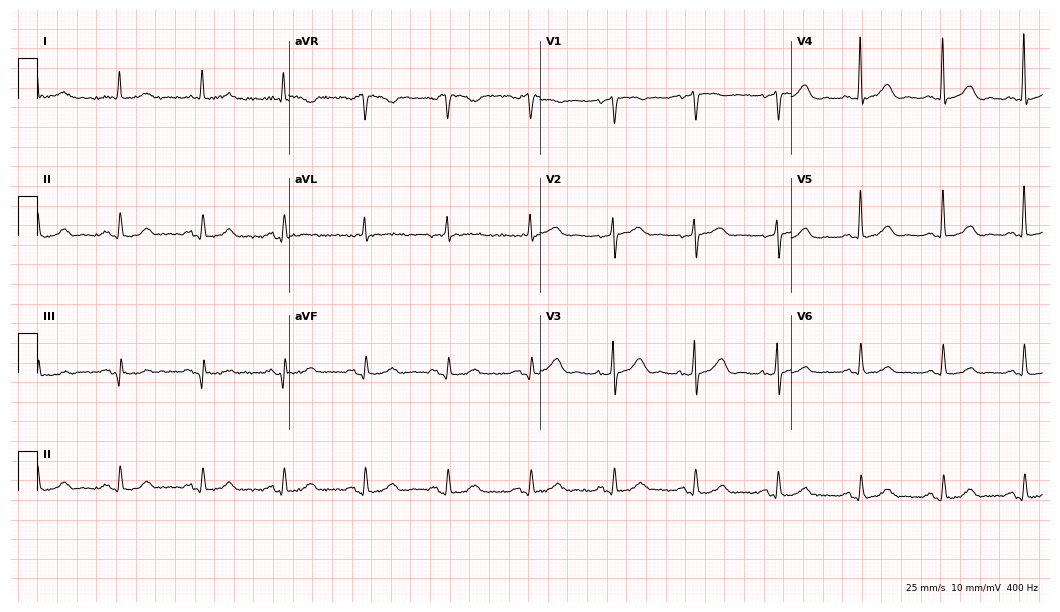
Resting 12-lead electrocardiogram (10.2-second recording at 400 Hz). Patient: a female, 79 years old. Read as a normal ECG.